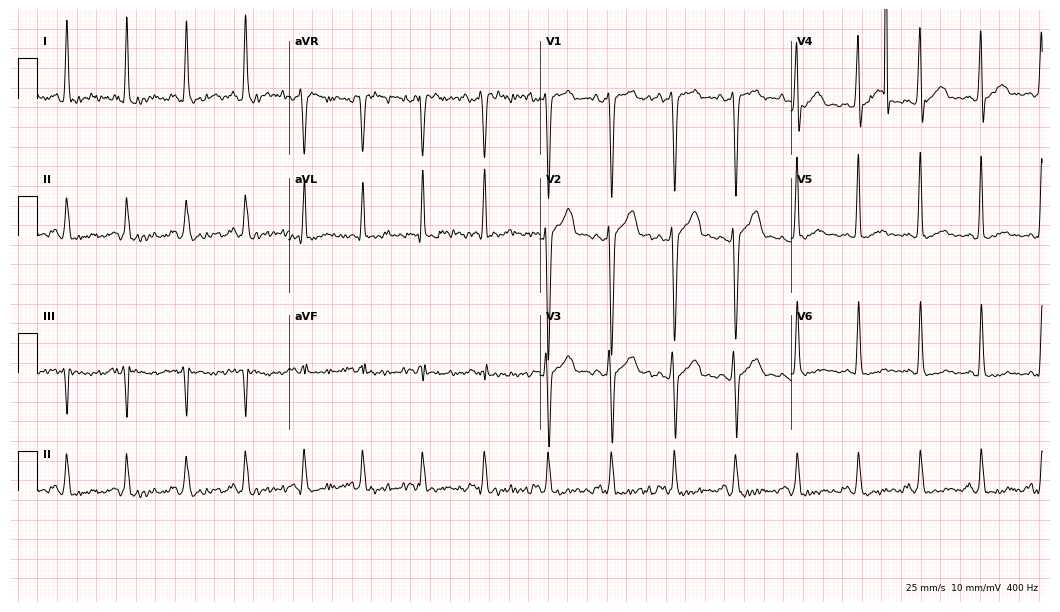
12-lead ECG from a 41-year-old male (10.2-second recording at 400 Hz). No first-degree AV block, right bundle branch block (RBBB), left bundle branch block (LBBB), sinus bradycardia, atrial fibrillation (AF) or sinus tachycardia recorded for this tracing.